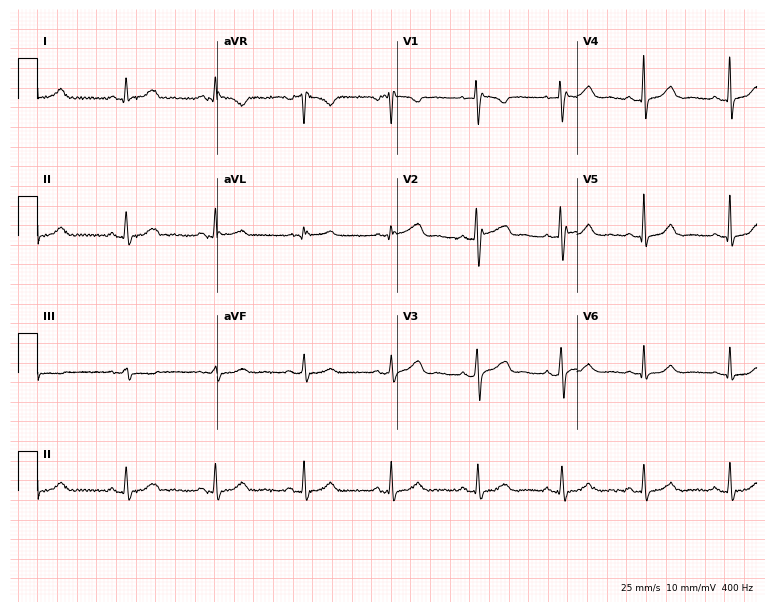
ECG — a 45-year-old female patient. Labelled as a normal ECG.